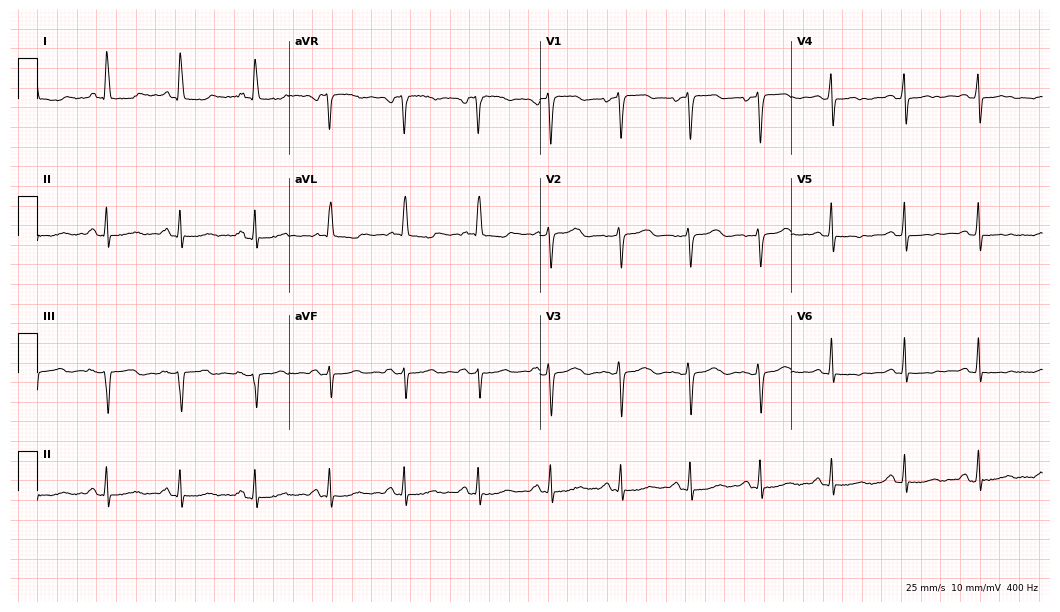
12-lead ECG from a 78-year-old male patient. Labelled as a normal ECG.